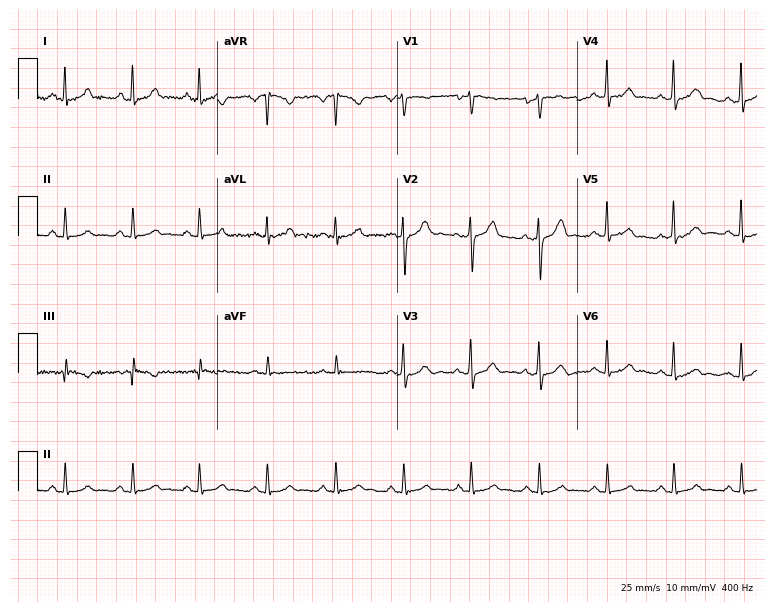
Resting 12-lead electrocardiogram. Patient: a male, 39 years old. Read as a normal ECG.